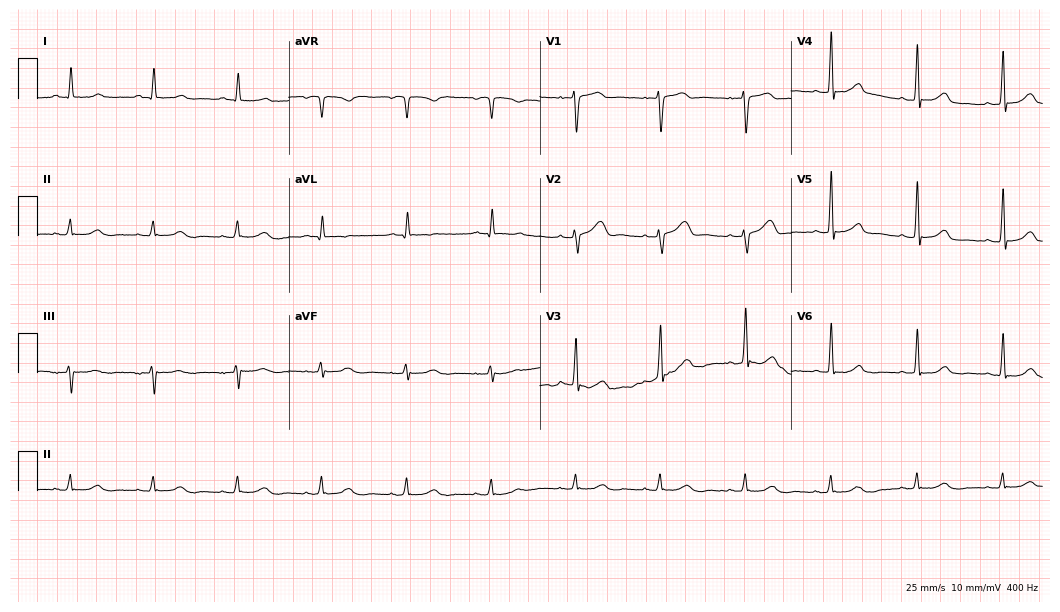
ECG — a 69-year-old male. Labelled as a normal ECG.